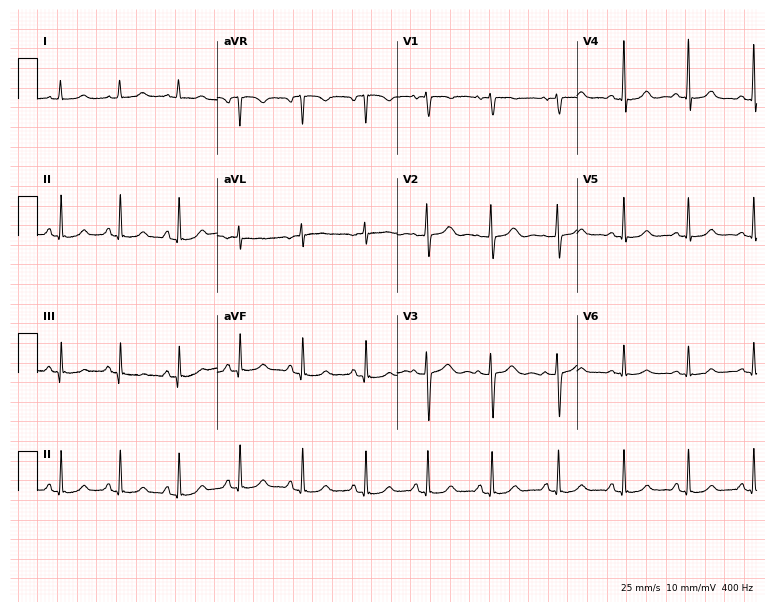
Electrocardiogram (7.3-second recording at 400 Hz), a 17-year-old woman. Of the six screened findings (first-degree AV block, right bundle branch block (RBBB), left bundle branch block (LBBB), sinus bradycardia, atrial fibrillation (AF), sinus tachycardia), none is recorded. Only these six findings were labelled.